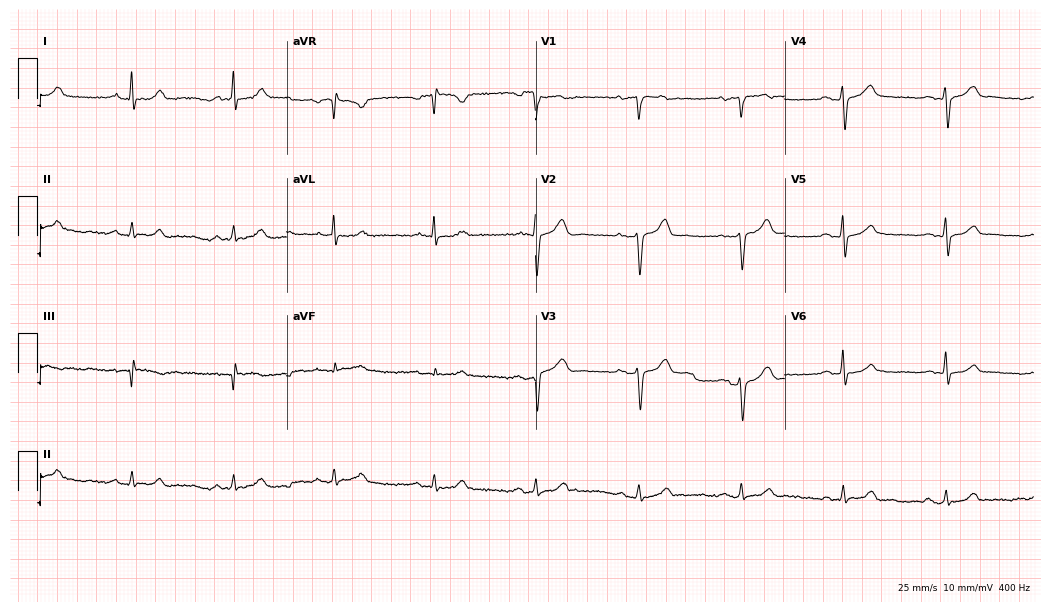
Resting 12-lead electrocardiogram (10.2-second recording at 400 Hz). Patient: a 51-year-old male. Read as a normal ECG.